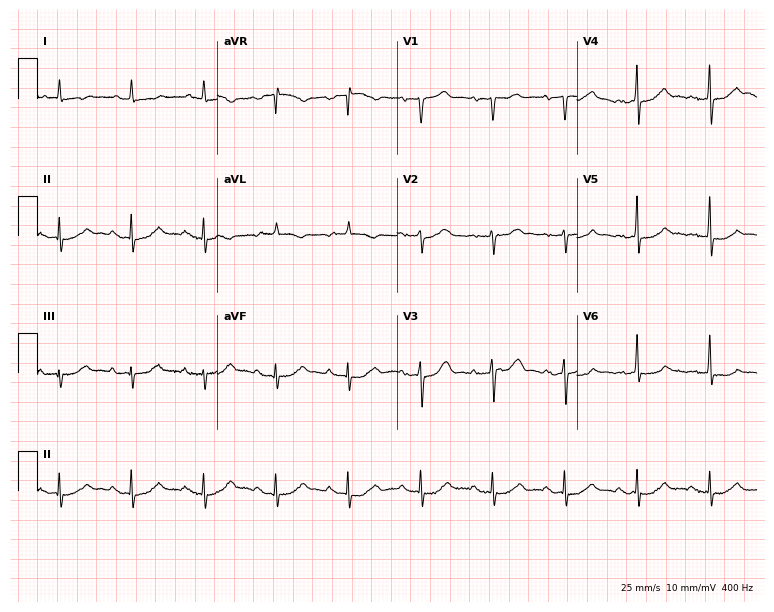
Standard 12-lead ECG recorded from a 72-year-old male. None of these six findings is recorded: first-degree AV block, right bundle branch block (RBBB), left bundle branch block (LBBB), sinus bradycardia, atrial fibrillation (AF), sinus tachycardia.